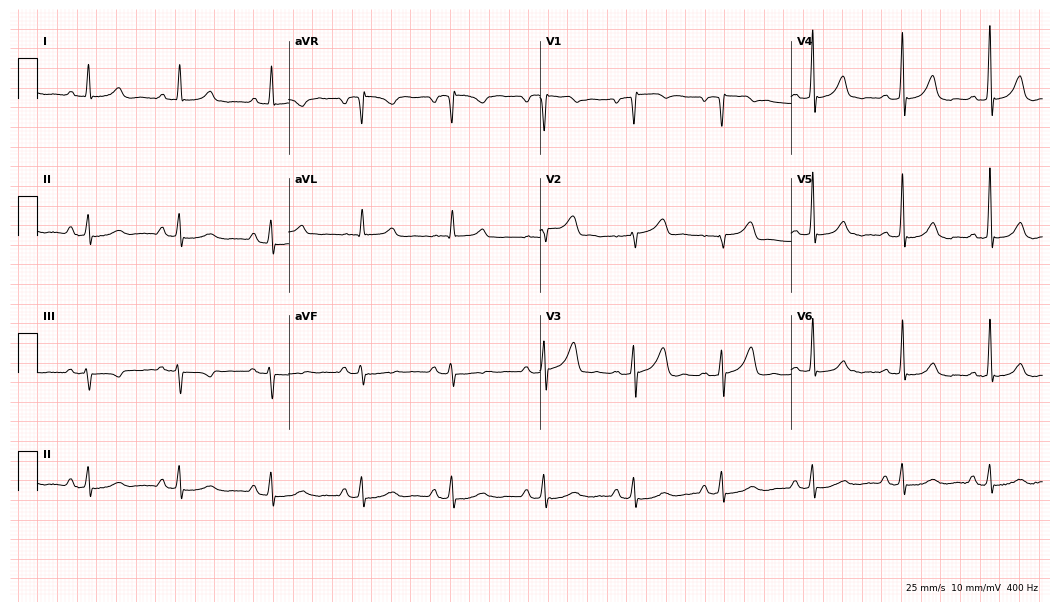
12-lead ECG from a 50-year-old female patient. Screened for six findings — first-degree AV block, right bundle branch block, left bundle branch block, sinus bradycardia, atrial fibrillation, sinus tachycardia — none is recorded. Only these six findings were labelled.